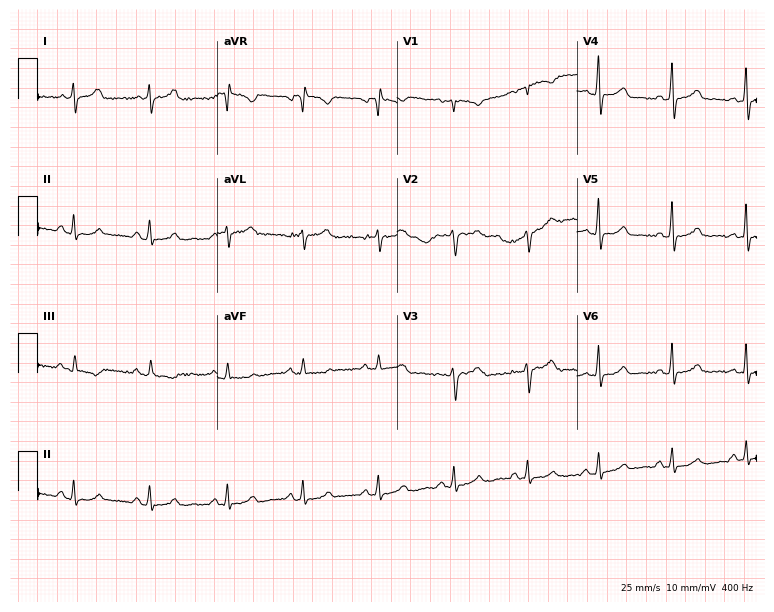
Standard 12-lead ECG recorded from a female, 37 years old (7.3-second recording at 400 Hz). None of these six findings is recorded: first-degree AV block, right bundle branch block, left bundle branch block, sinus bradycardia, atrial fibrillation, sinus tachycardia.